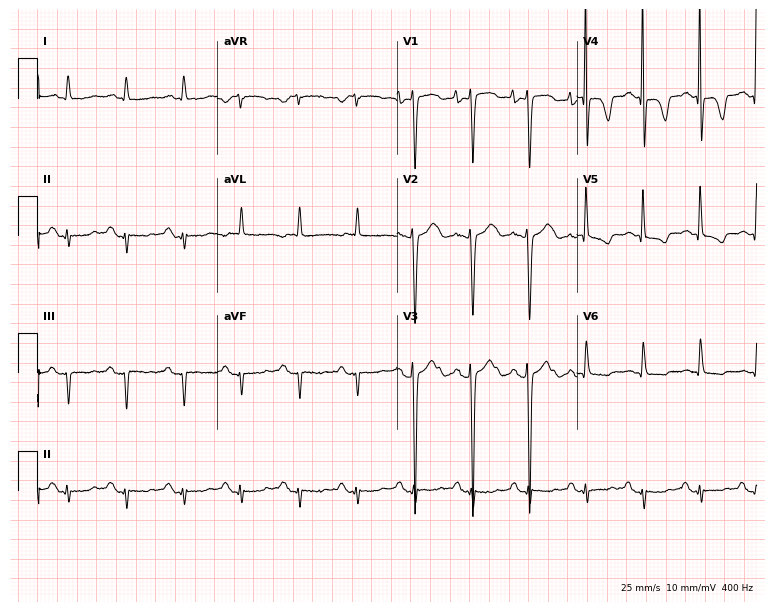
Standard 12-lead ECG recorded from a female patient, 82 years old (7.3-second recording at 400 Hz). The tracing shows sinus tachycardia (a sinus rate of 100 beats per minute or more).